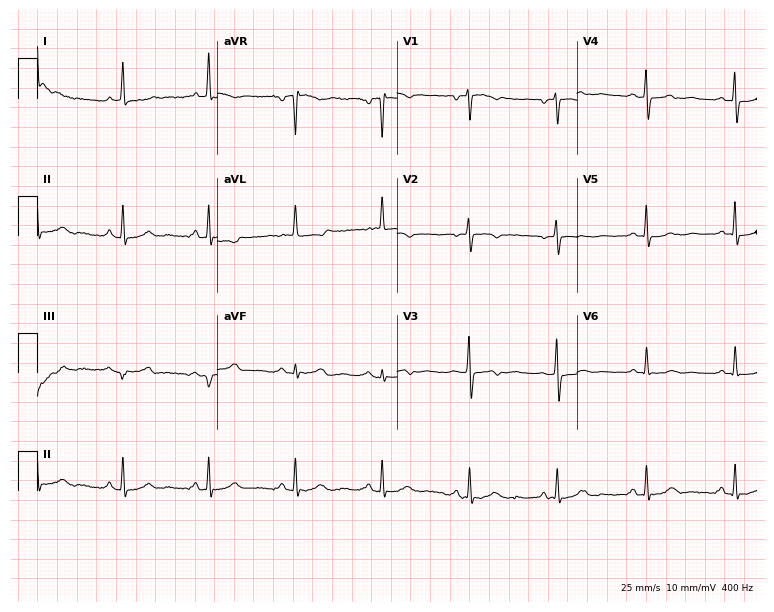
Electrocardiogram (7.3-second recording at 400 Hz), a 66-year-old female. Of the six screened findings (first-degree AV block, right bundle branch block (RBBB), left bundle branch block (LBBB), sinus bradycardia, atrial fibrillation (AF), sinus tachycardia), none is recorded. Other findings, if any, are not listed.